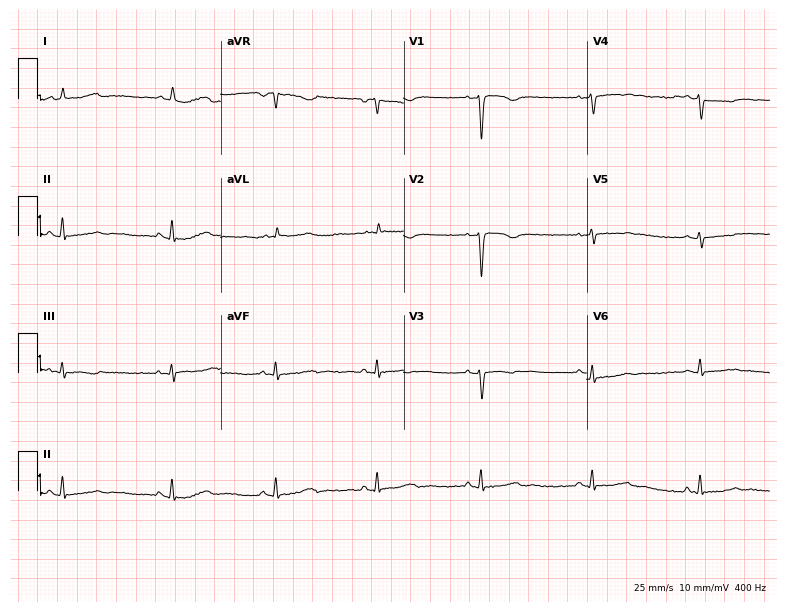
Standard 12-lead ECG recorded from a 36-year-old female. None of these six findings is recorded: first-degree AV block, right bundle branch block (RBBB), left bundle branch block (LBBB), sinus bradycardia, atrial fibrillation (AF), sinus tachycardia.